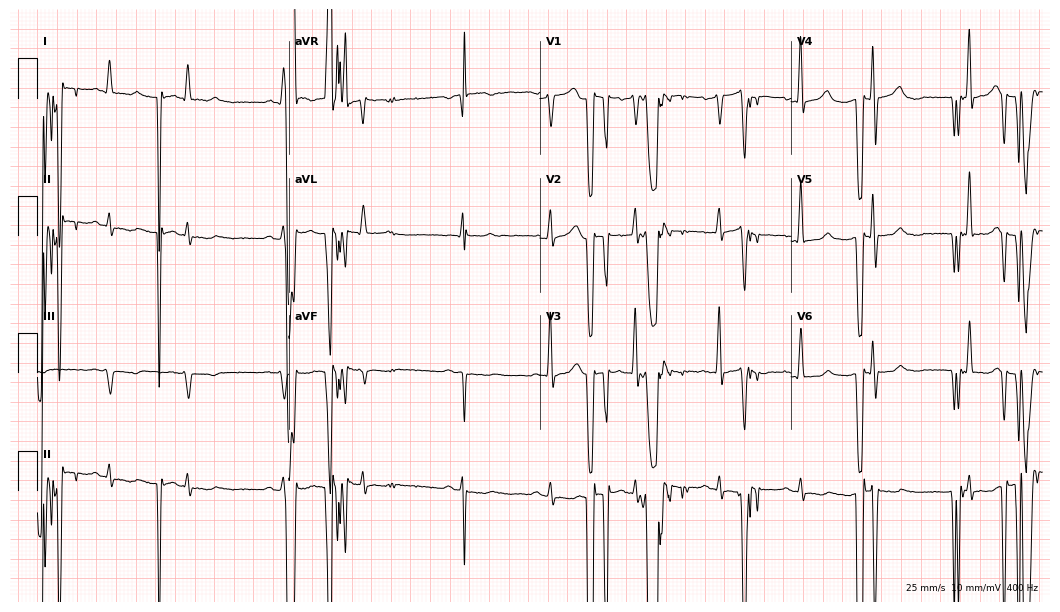
Standard 12-lead ECG recorded from a man, 68 years old (10.2-second recording at 400 Hz). None of these six findings is recorded: first-degree AV block, right bundle branch block (RBBB), left bundle branch block (LBBB), sinus bradycardia, atrial fibrillation (AF), sinus tachycardia. Other findings, if any, are not listed.